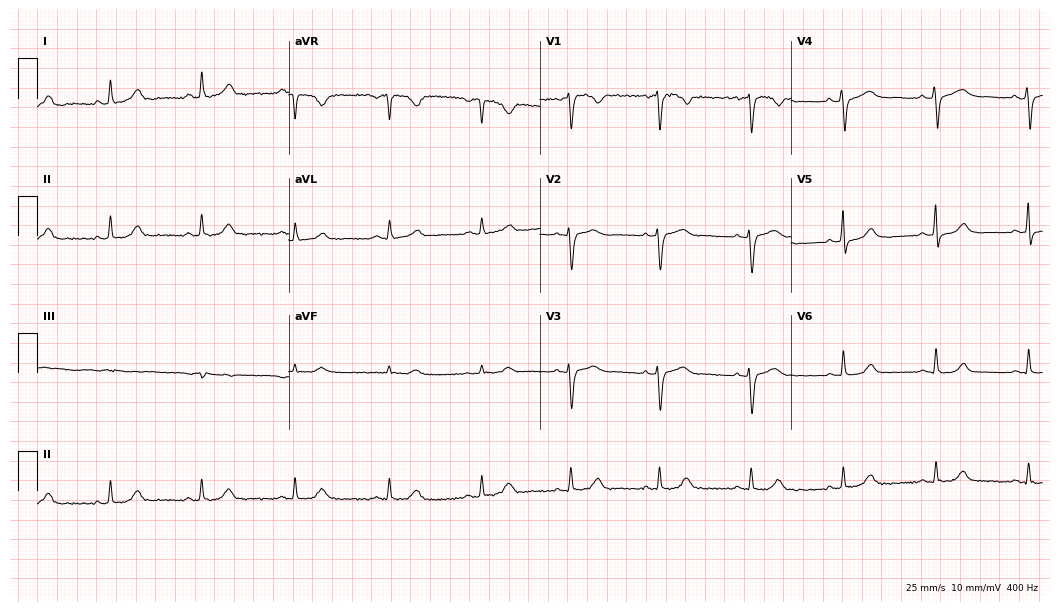
Electrocardiogram, a 48-year-old woman. Overall reading on record: normal ECG.